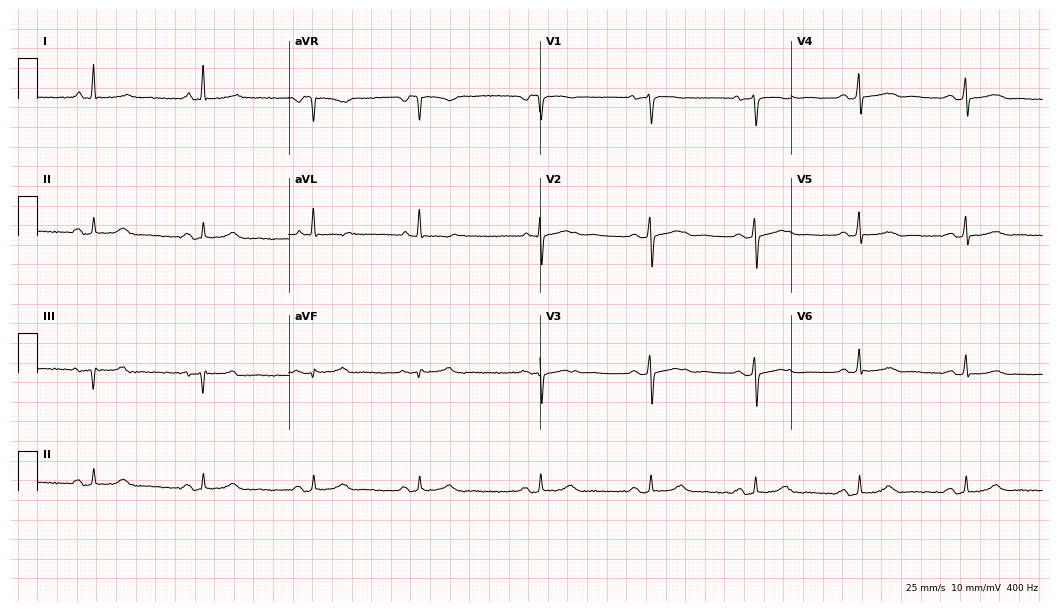
12-lead ECG from a female patient, 70 years old. Recorded interpretation: within normal limits.